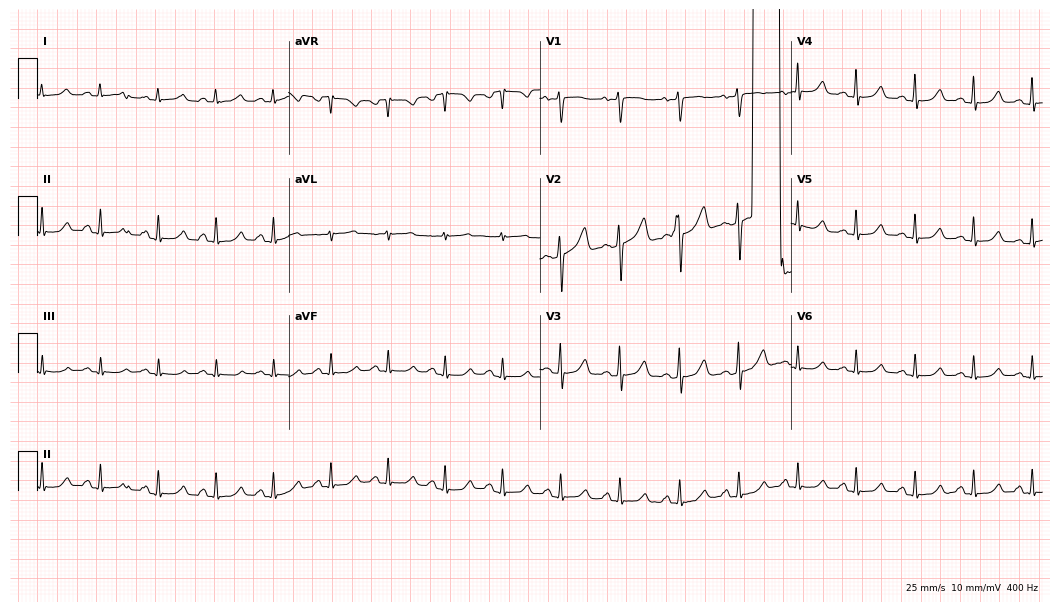
Resting 12-lead electrocardiogram. Patient: a 33-year-old female. None of these six findings is recorded: first-degree AV block, right bundle branch block, left bundle branch block, sinus bradycardia, atrial fibrillation, sinus tachycardia.